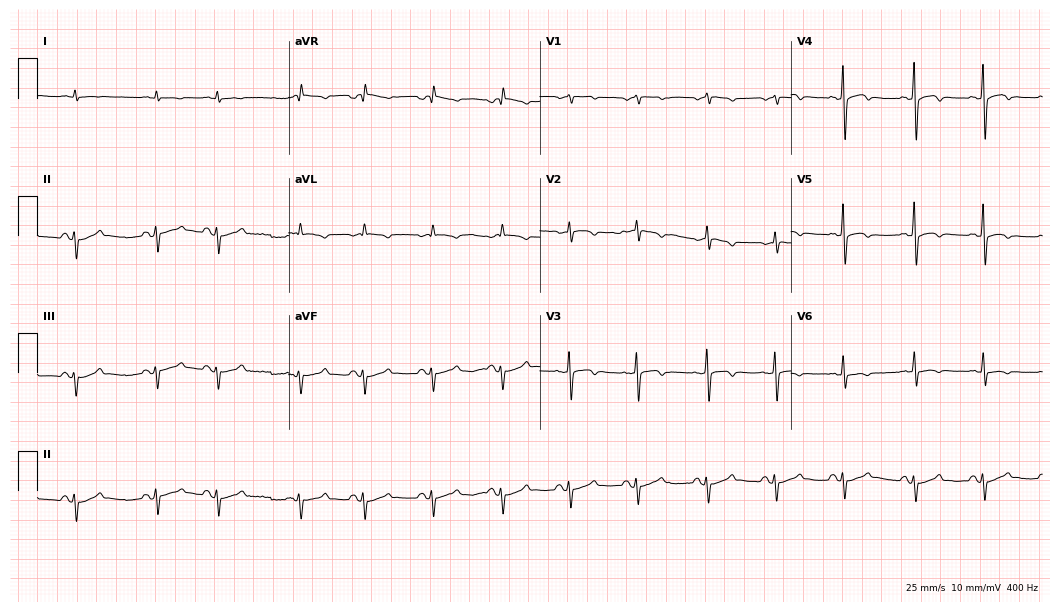
ECG — a male, 84 years old. Screened for six findings — first-degree AV block, right bundle branch block (RBBB), left bundle branch block (LBBB), sinus bradycardia, atrial fibrillation (AF), sinus tachycardia — none is recorded.